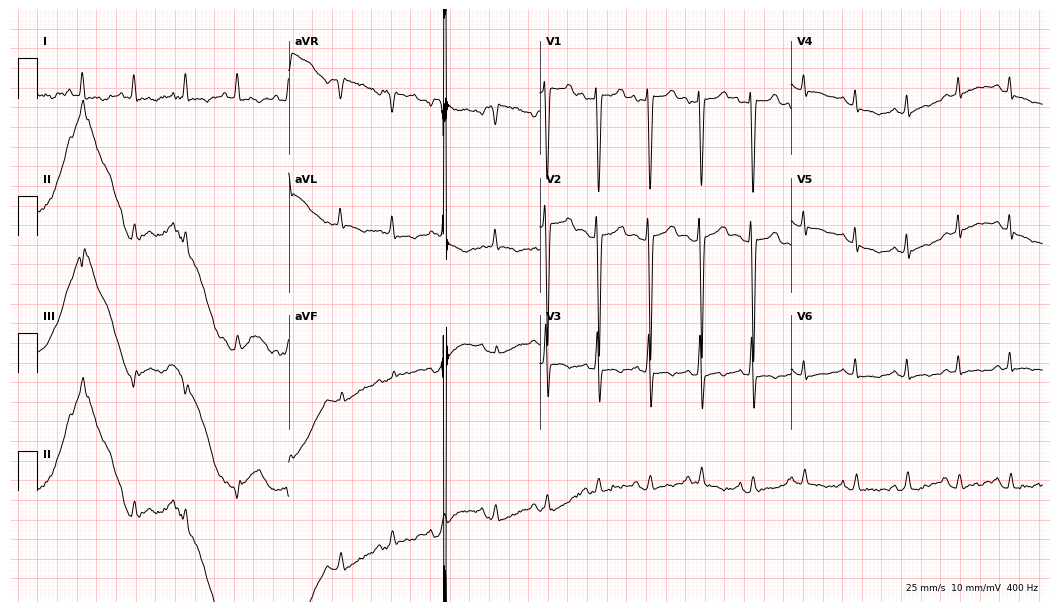
Standard 12-lead ECG recorded from an 80-year-old female. None of these six findings is recorded: first-degree AV block, right bundle branch block (RBBB), left bundle branch block (LBBB), sinus bradycardia, atrial fibrillation (AF), sinus tachycardia.